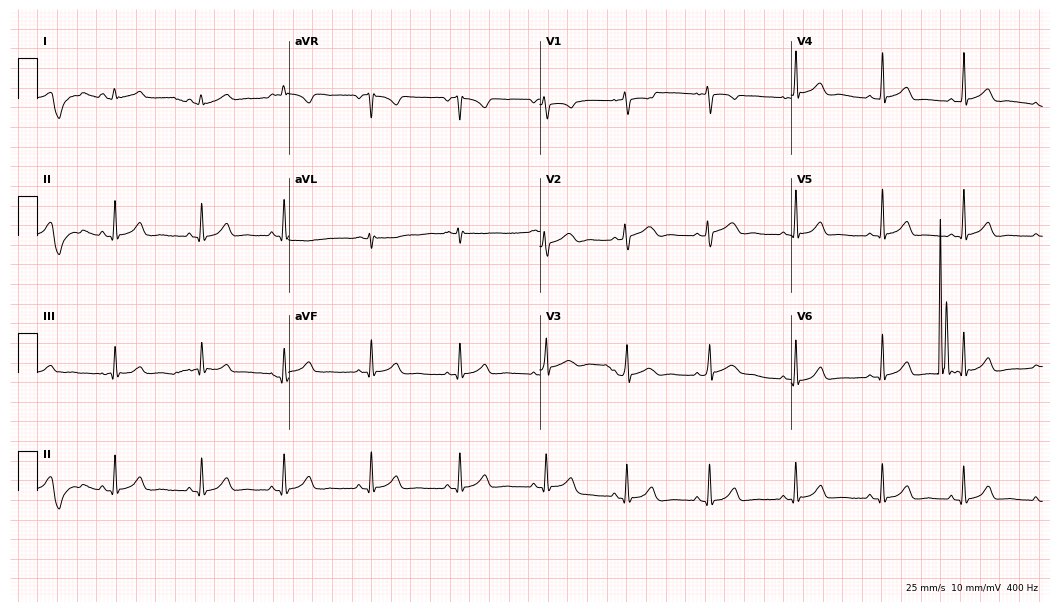
Standard 12-lead ECG recorded from a 19-year-old woman. Read as a normal ECG.